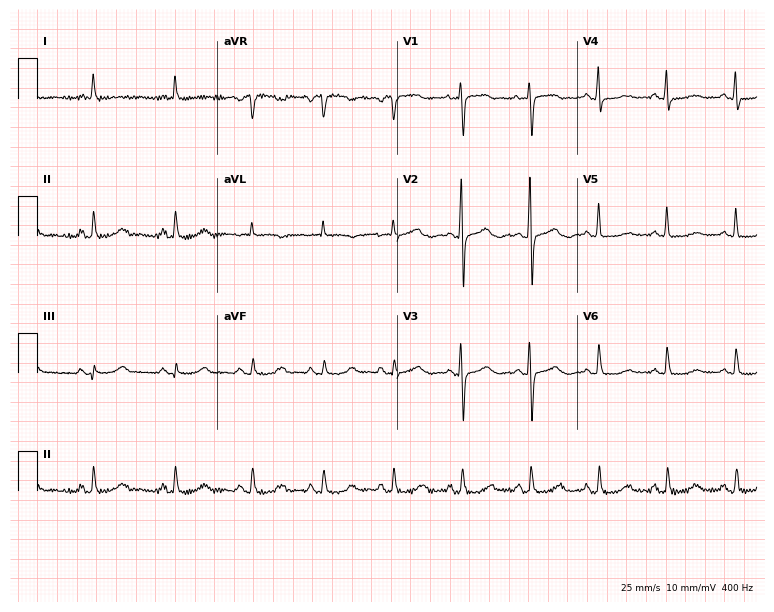
12-lead ECG from a woman, 74 years old (7.3-second recording at 400 Hz). Recorded interpretation: within normal limits.